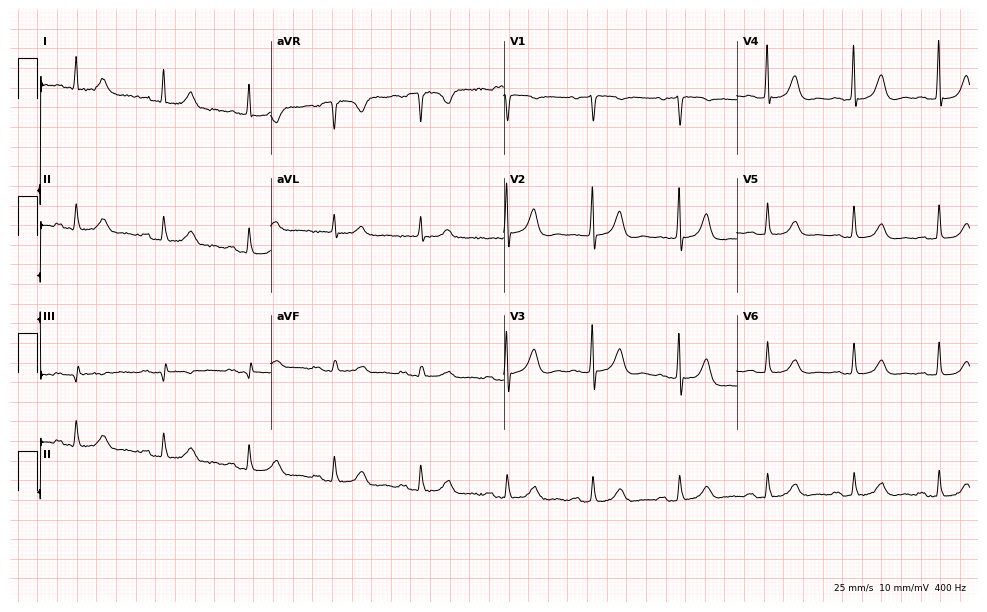
12-lead ECG from an 81-year-old woman. Recorded interpretation: within normal limits.